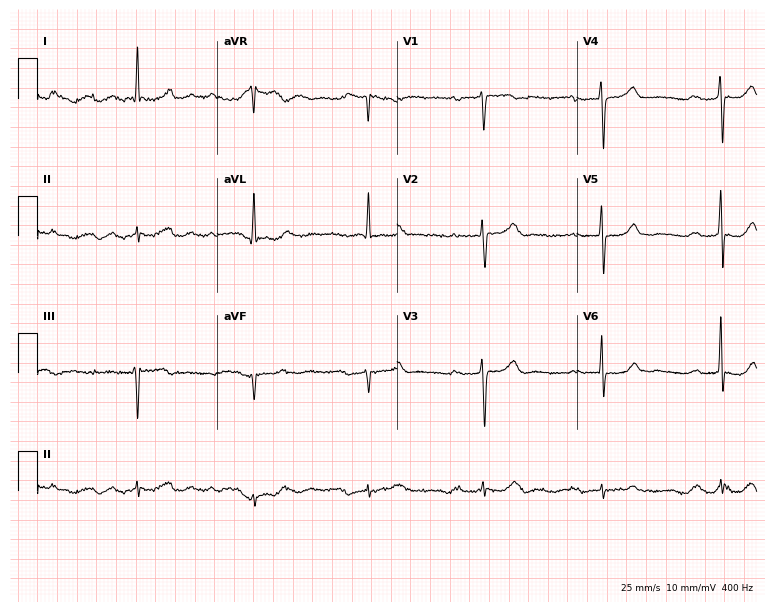
Resting 12-lead electrocardiogram. Patient: an 80-year-old male. None of these six findings is recorded: first-degree AV block, right bundle branch block (RBBB), left bundle branch block (LBBB), sinus bradycardia, atrial fibrillation (AF), sinus tachycardia. Other findings, if any, are not listed.